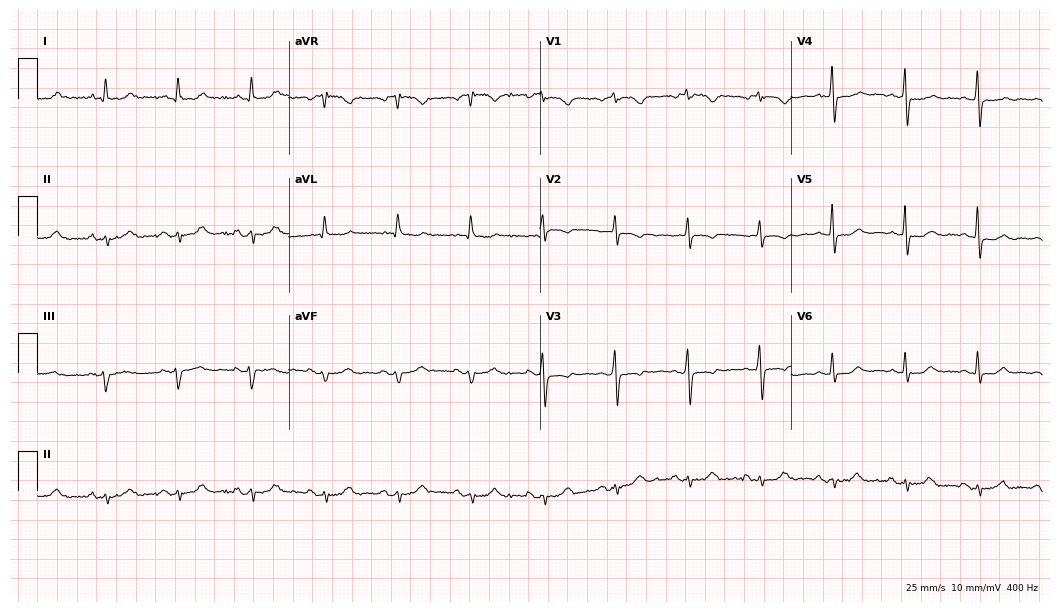
Standard 12-lead ECG recorded from a female patient, 73 years old. None of these six findings is recorded: first-degree AV block, right bundle branch block, left bundle branch block, sinus bradycardia, atrial fibrillation, sinus tachycardia.